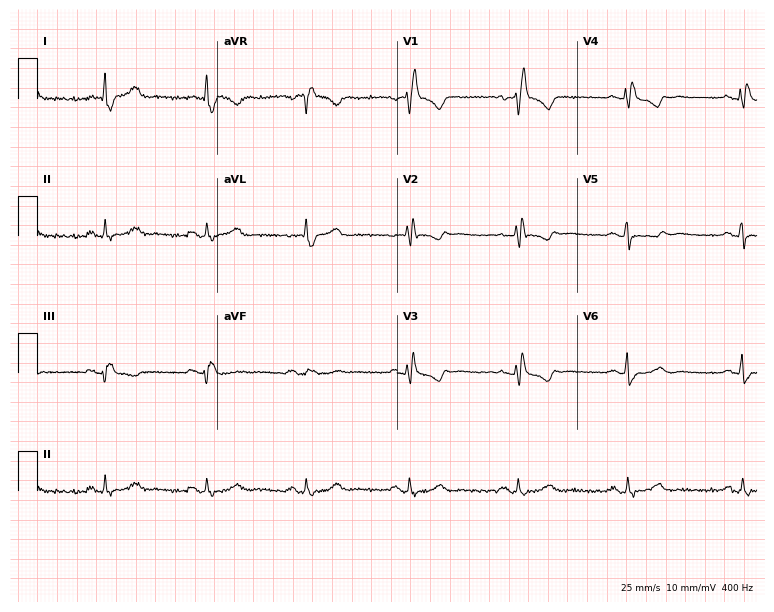
Electrocardiogram, a 61-year-old female. Interpretation includes right bundle branch block (RBBB).